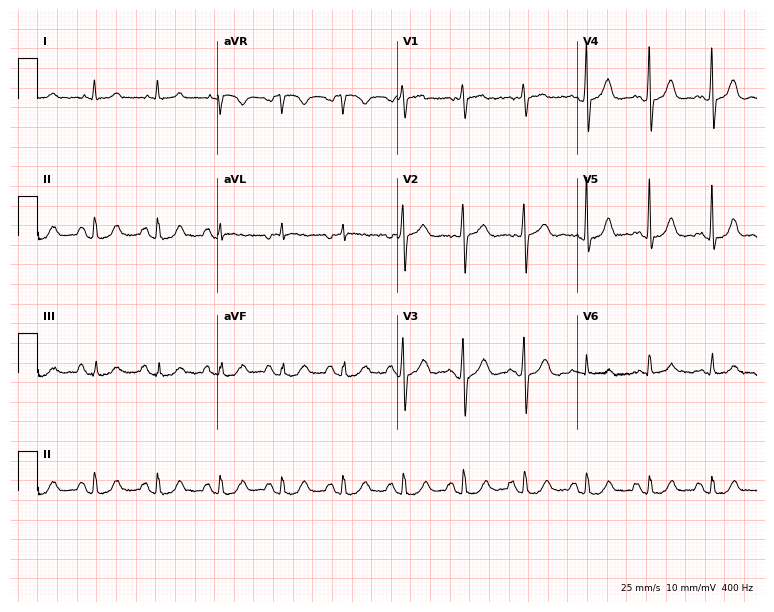
Standard 12-lead ECG recorded from a 63-year-old male (7.3-second recording at 400 Hz). Read as a normal ECG.